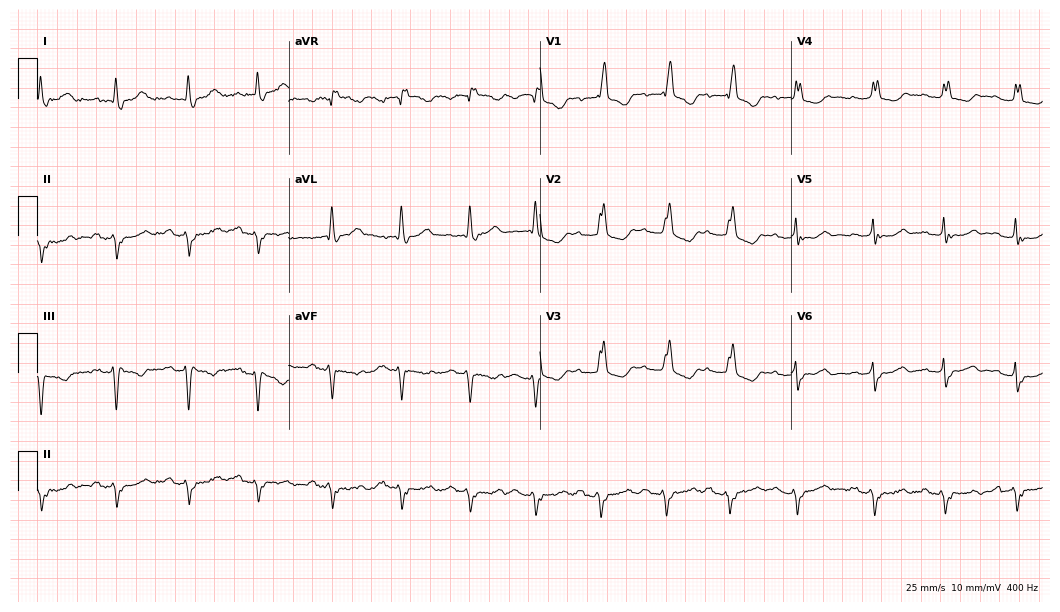
Electrocardiogram (10.2-second recording at 400 Hz), a female, 67 years old. Interpretation includes right bundle branch block.